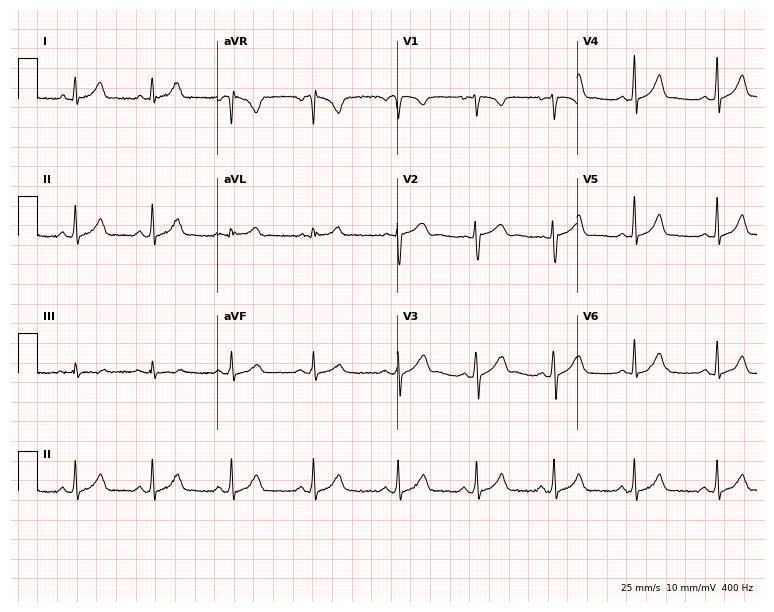
Standard 12-lead ECG recorded from a female, 27 years old (7.3-second recording at 400 Hz). None of these six findings is recorded: first-degree AV block, right bundle branch block, left bundle branch block, sinus bradycardia, atrial fibrillation, sinus tachycardia.